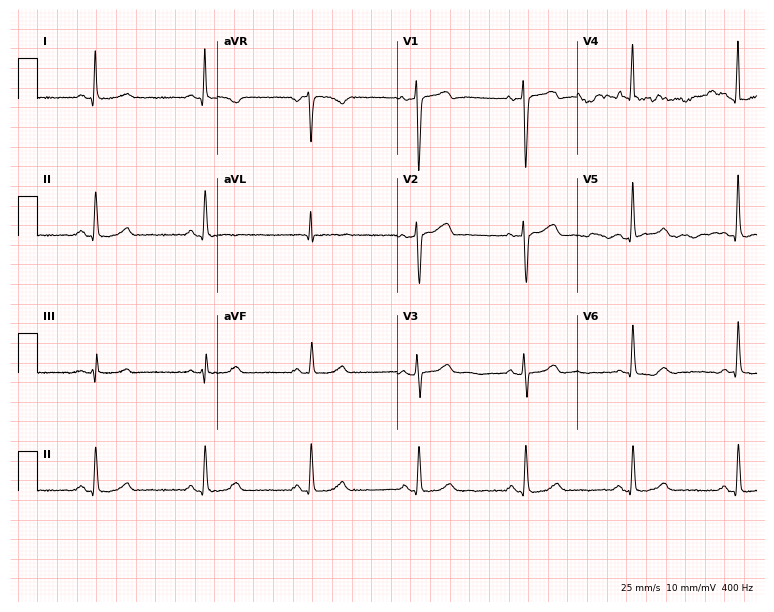
Standard 12-lead ECG recorded from a female, 51 years old (7.3-second recording at 400 Hz). Read as a normal ECG.